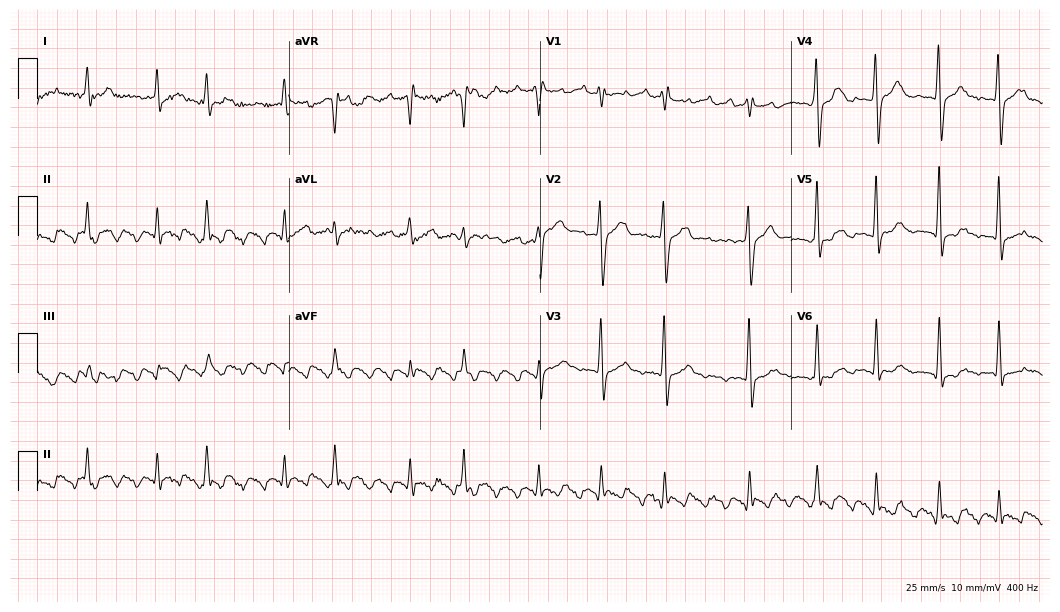
Electrocardiogram, a male patient, 48 years old. Of the six screened findings (first-degree AV block, right bundle branch block, left bundle branch block, sinus bradycardia, atrial fibrillation, sinus tachycardia), none is recorded. Other findings, if any, are not listed.